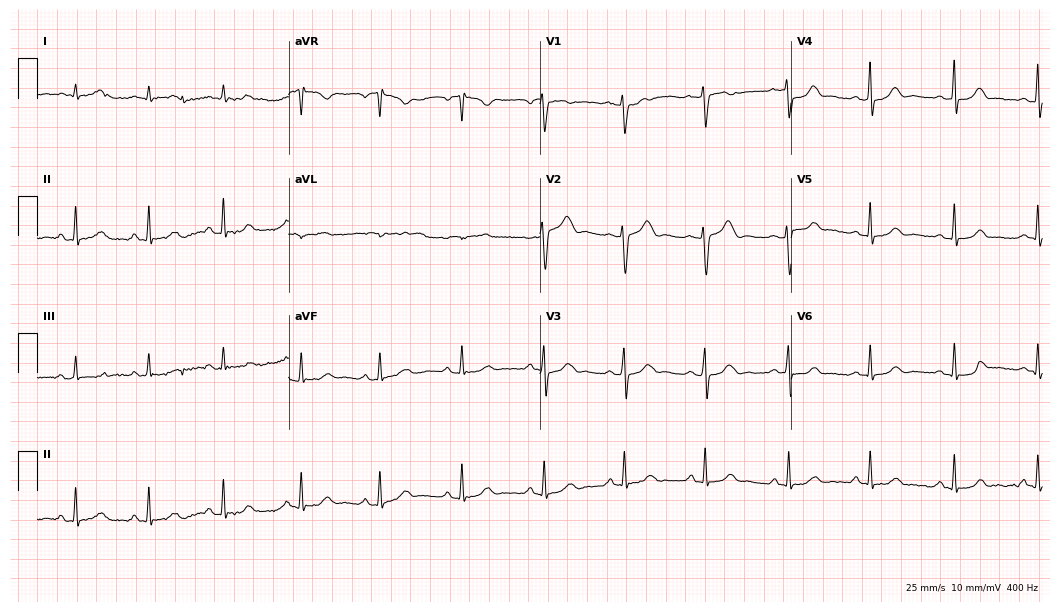
12-lead ECG from a female, 35 years old. Labelled as a normal ECG.